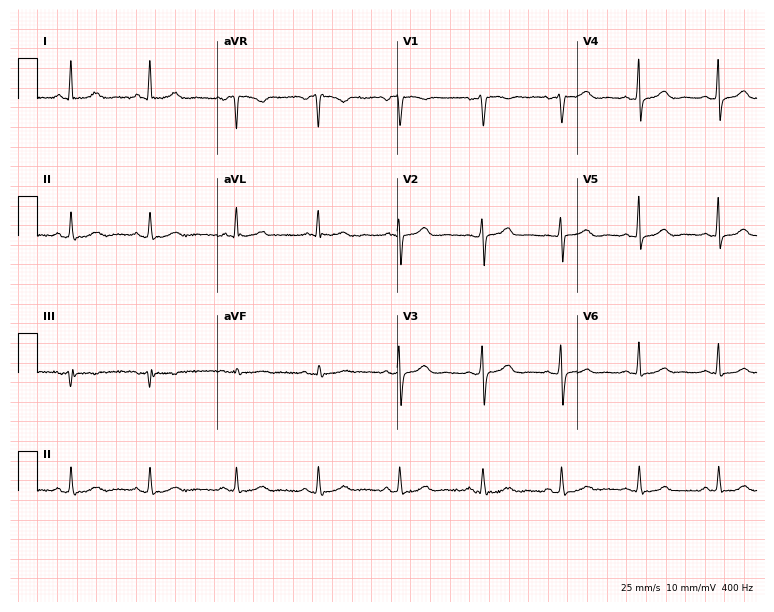
Electrocardiogram, a 39-year-old female. Overall reading on record: normal ECG.